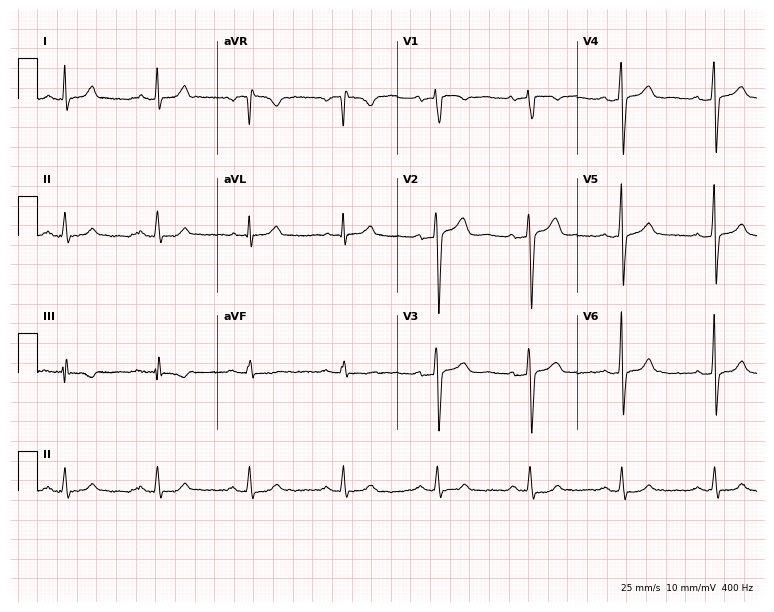
12-lead ECG from a man, 58 years old. Recorded interpretation: within normal limits.